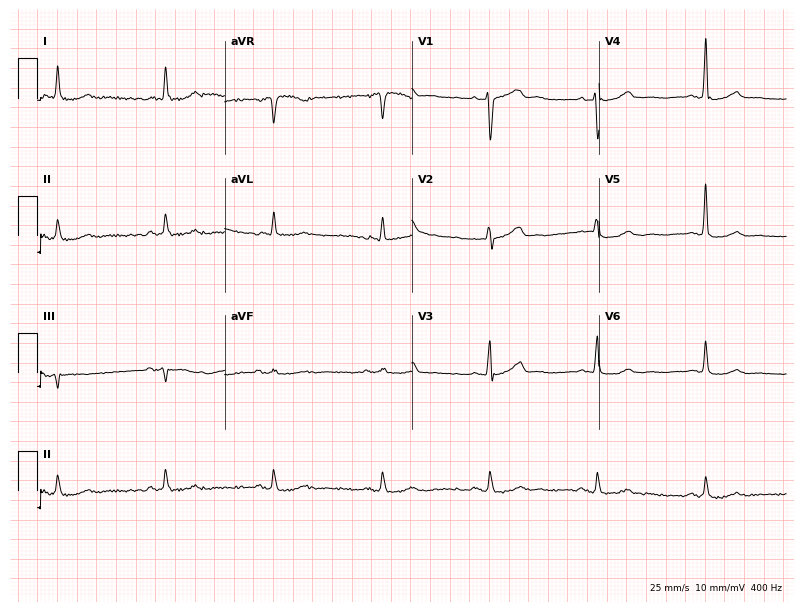
12-lead ECG (7.6-second recording at 400 Hz) from a man, 85 years old. Screened for six findings — first-degree AV block, right bundle branch block, left bundle branch block, sinus bradycardia, atrial fibrillation, sinus tachycardia — none is recorded. Findings outside these six are not listed.